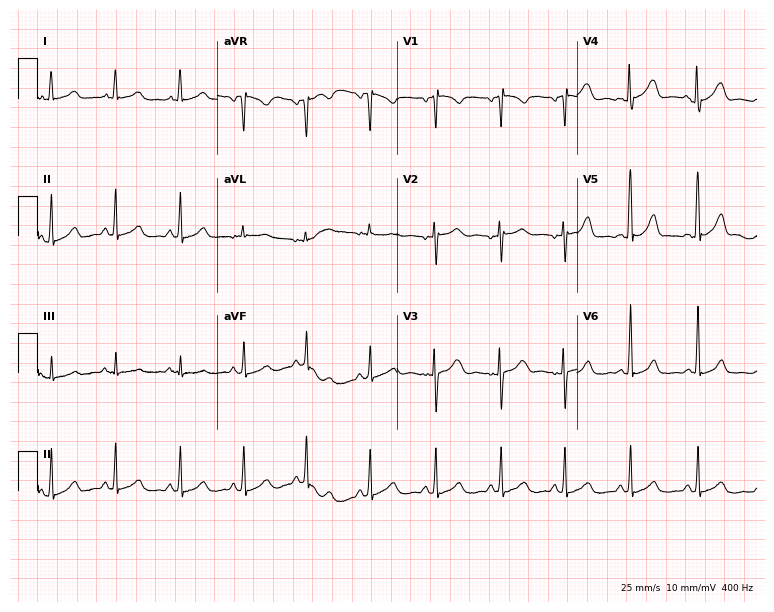
Standard 12-lead ECG recorded from a 49-year-old female patient (7.3-second recording at 400 Hz). None of these six findings is recorded: first-degree AV block, right bundle branch block, left bundle branch block, sinus bradycardia, atrial fibrillation, sinus tachycardia. Other findings, if any, are not listed.